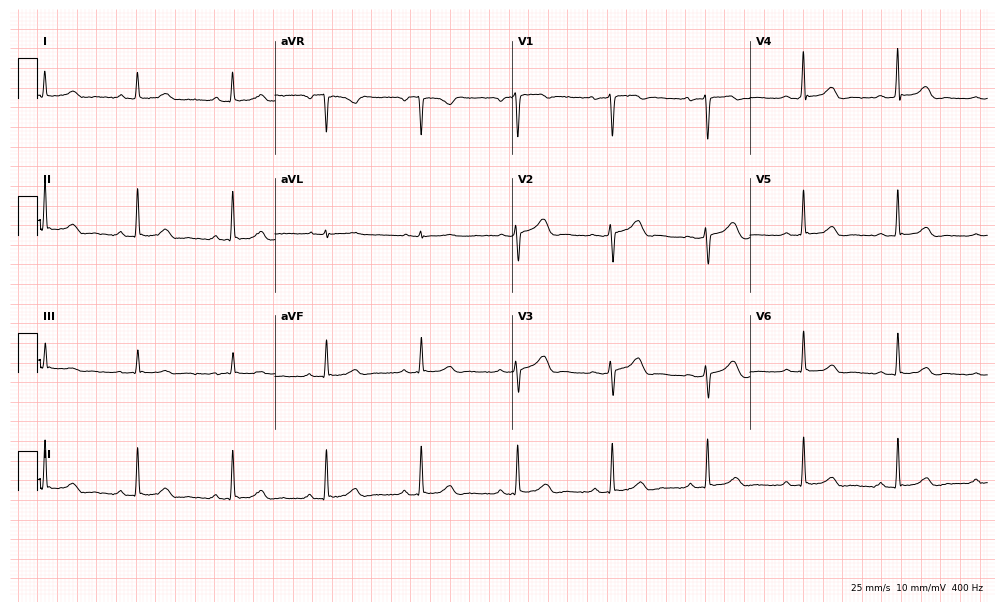
ECG — a female patient, 44 years old. Labelled as a normal ECG.